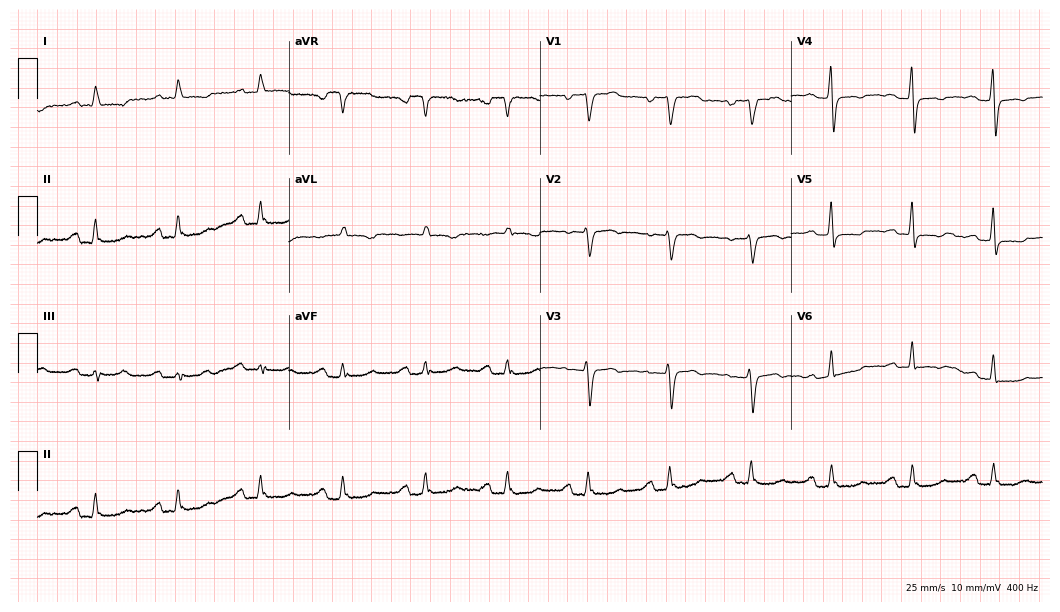
Resting 12-lead electrocardiogram (10.2-second recording at 400 Hz). Patient: a woman, 83 years old. The tracing shows first-degree AV block.